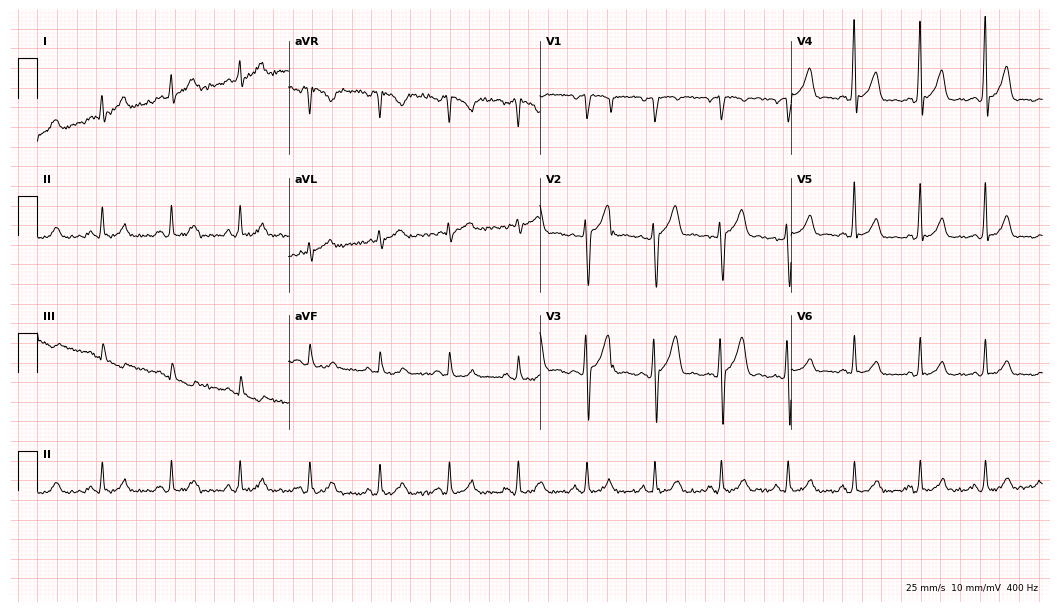
Standard 12-lead ECG recorded from a 40-year-old male patient. Read as a normal ECG.